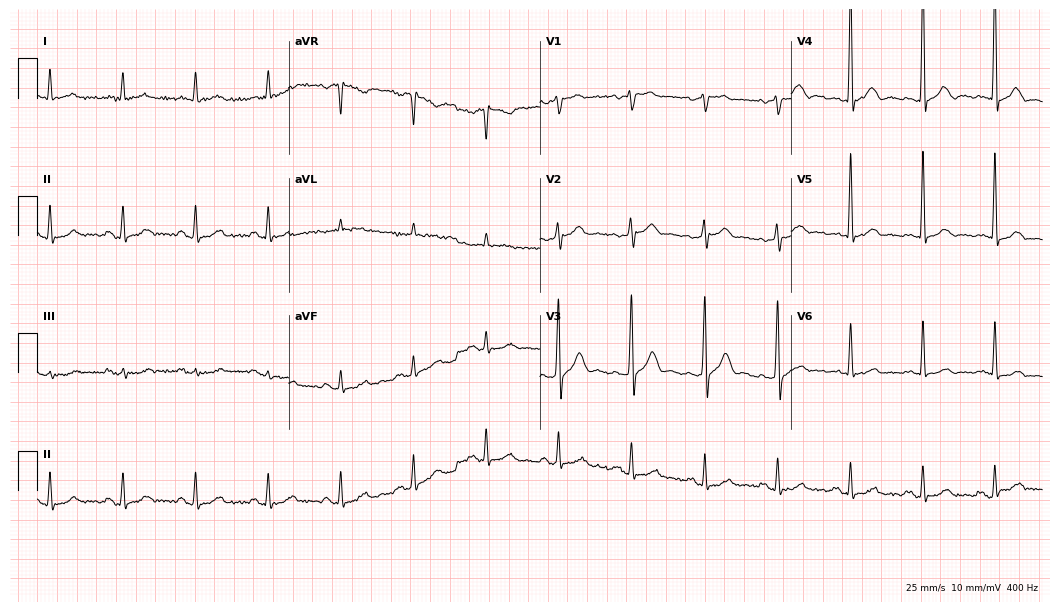
ECG — a 66-year-old male patient. Labelled as a normal ECG.